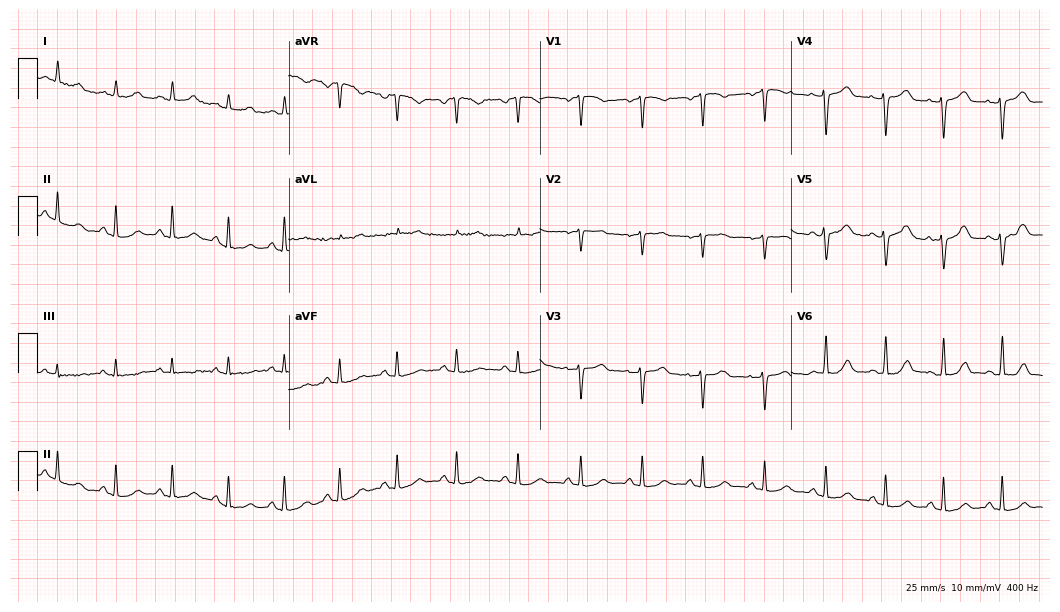
Electrocardiogram (10.2-second recording at 400 Hz), a 38-year-old female patient. Of the six screened findings (first-degree AV block, right bundle branch block (RBBB), left bundle branch block (LBBB), sinus bradycardia, atrial fibrillation (AF), sinus tachycardia), none is recorded.